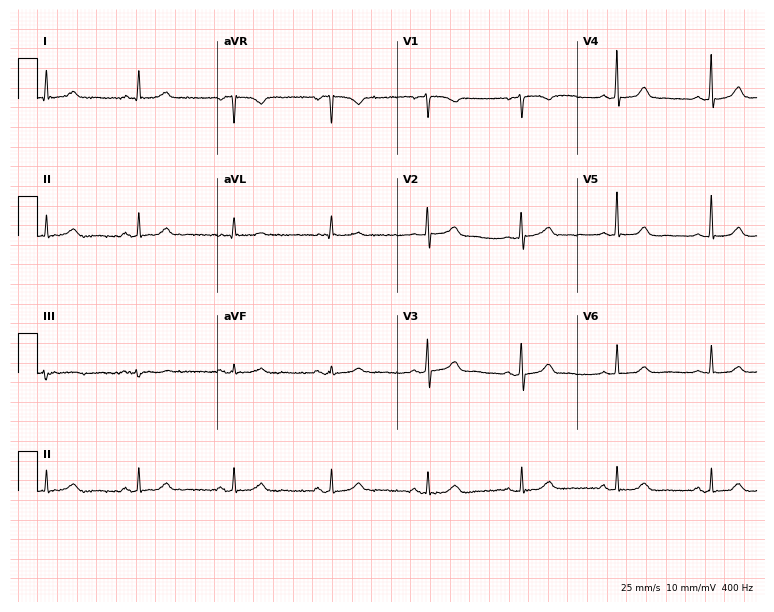
Electrocardiogram, a female, 68 years old. Overall reading on record: normal ECG.